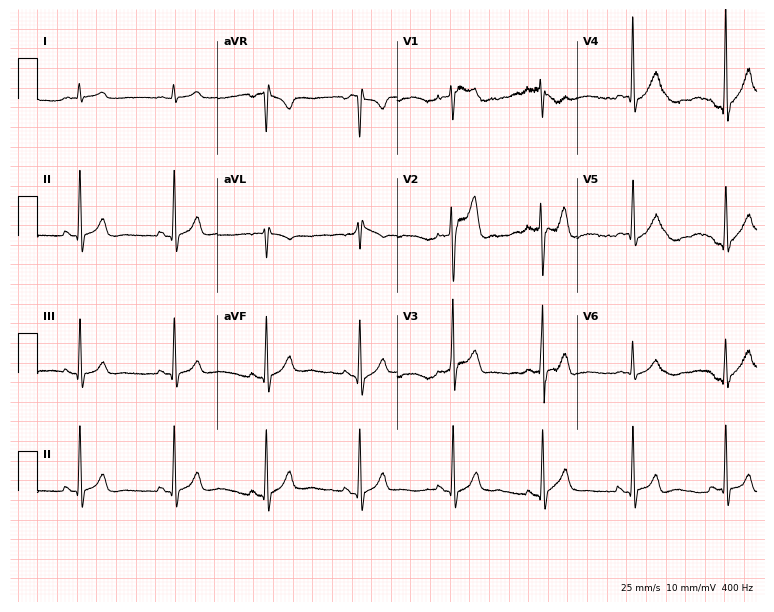
Electrocardiogram (7.3-second recording at 400 Hz), a 22-year-old male patient. Overall reading on record: normal ECG.